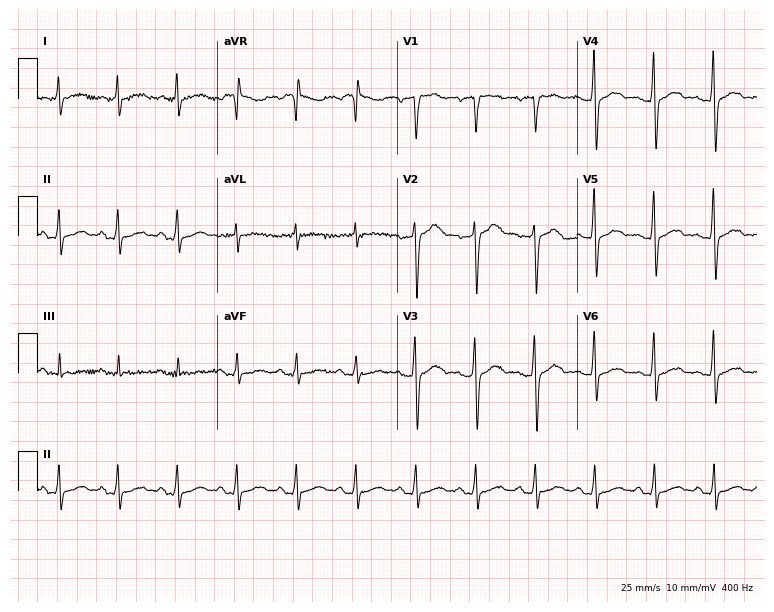
Standard 12-lead ECG recorded from a male, 69 years old (7.3-second recording at 400 Hz). Read as a normal ECG.